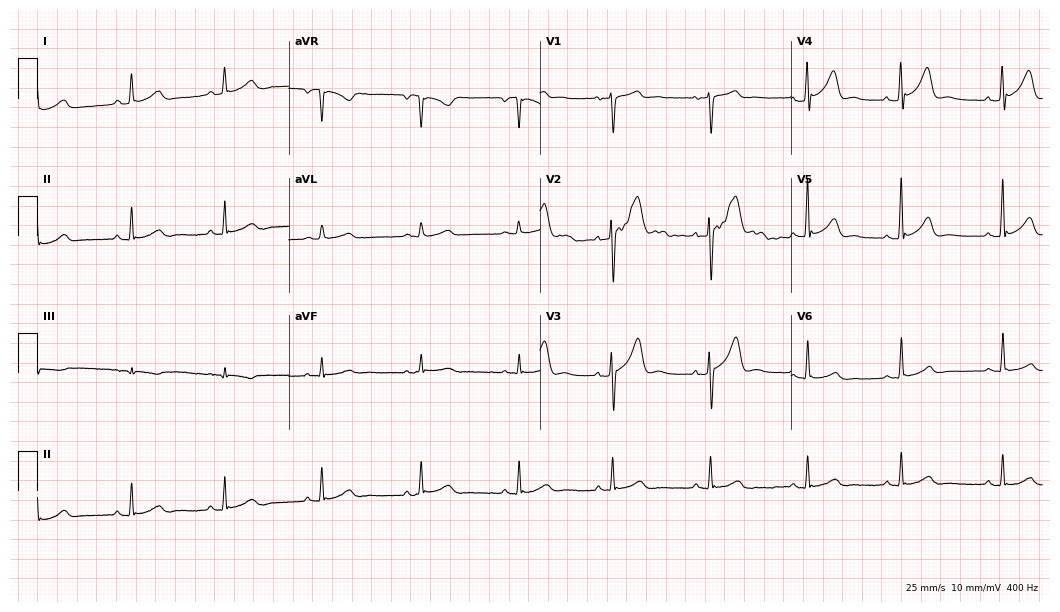
Electrocardiogram (10.2-second recording at 400 Hz), a 43-year-old male patient. Of the six screened findings (first-degree AV block, right bundle branch block, left bundle branch block, sinus bradycardia, atrial fibrillation, sinus tachycardia), none is recorded. Other findings, if any, are not listed.